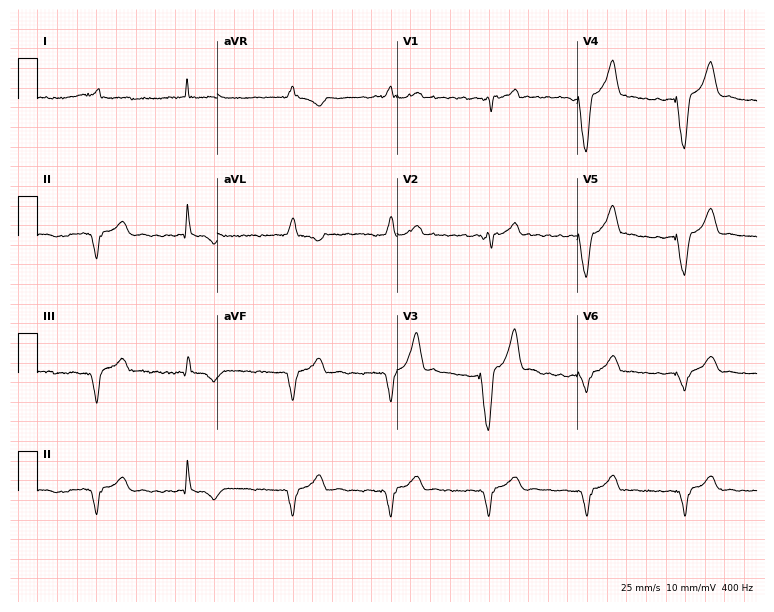
Resting 12-lead electrocardiogram. Patient: a 65-year-old male. None of these six findings is recorded: first-degree AV block, right bundle branch block (RBBB), left bundle branch block (LBBB), sinus bradycardia, atrial fibrillation (AF), sinus tachycardia.